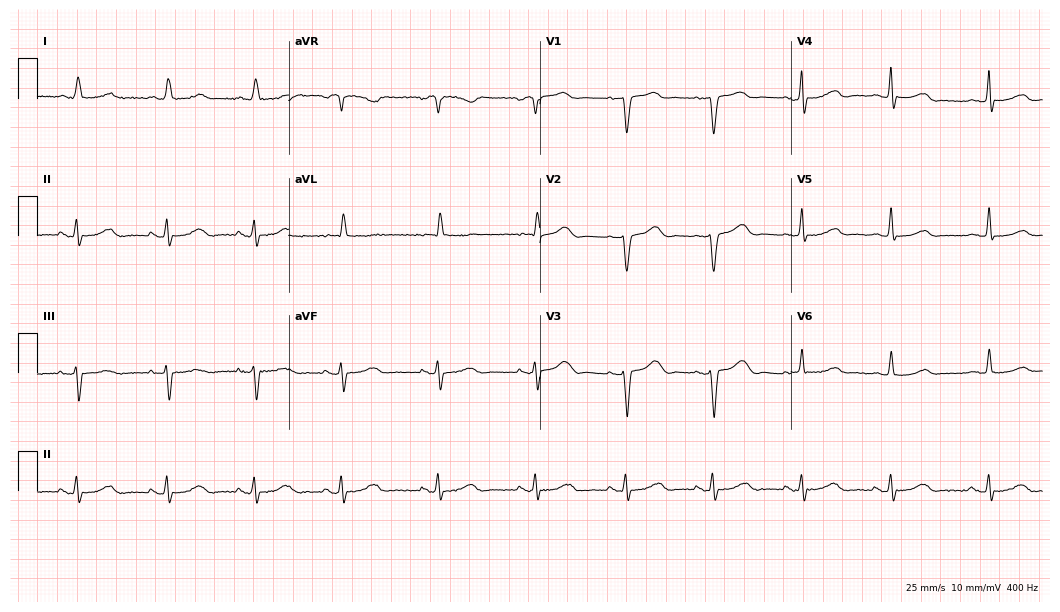
12-lead ECG from an 82-year-old female. Screened for six findings — first-degree AV block, right bundle branch block, left bundle branch block, sinus bradycardia, atrial fibrillation, sinus tachycardia — none is recorded.